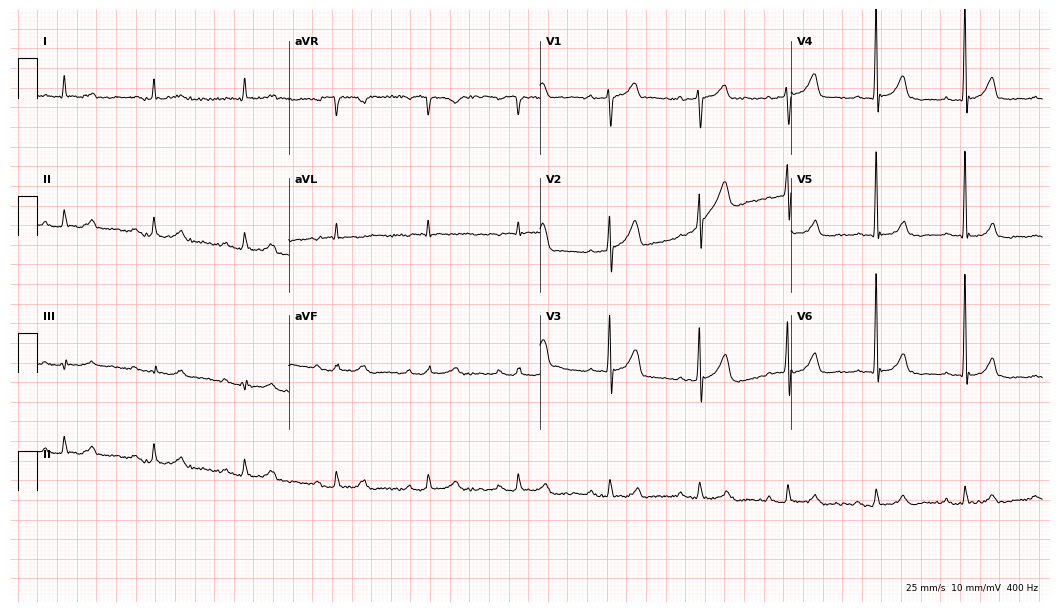
12-lead ECG from a 78-year-old man. Screened for six findings — first-degree AV block, right bundle branch block, left bundle branch block, sinus bradycardia, atrial fibrillation, sinus tachycardia — none is recorded.